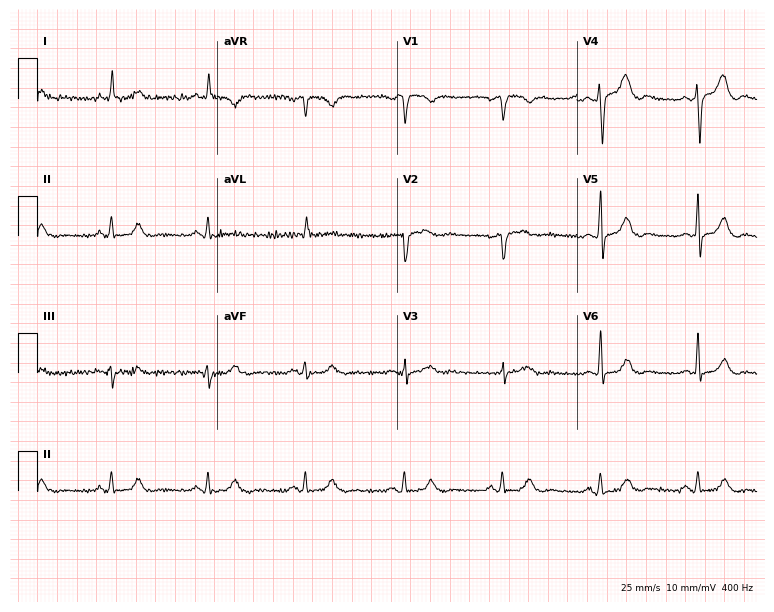
Electrocardiogram, a male patient, 85 years old. Overall reading on record: normal ECG.